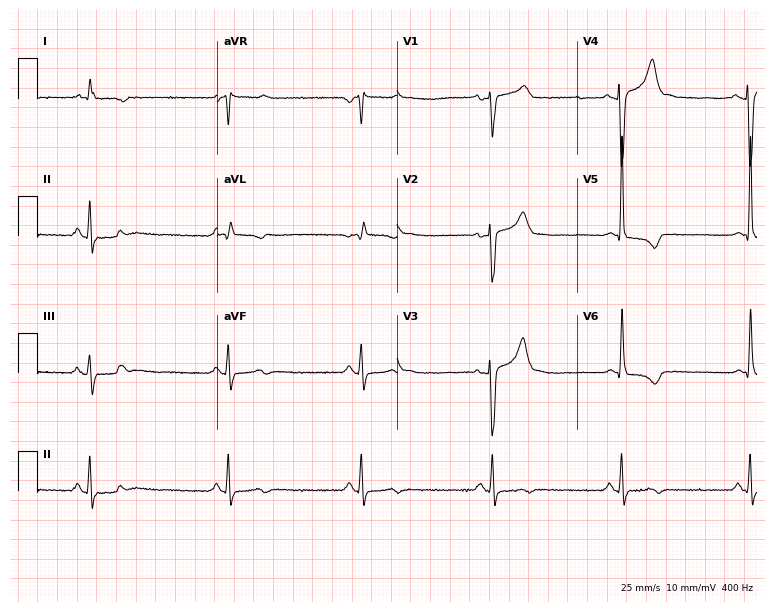
Electrocardiogram (7.3-second recording at 400 Hz), a 60-year-old man. Of the six screened findings (first-degree AV block, right bundle branch block, left bundle branch block, sinus bradycardia, atrial fibrillation, sinus tachycardia), none is recorded. Only these six findings were labelled.